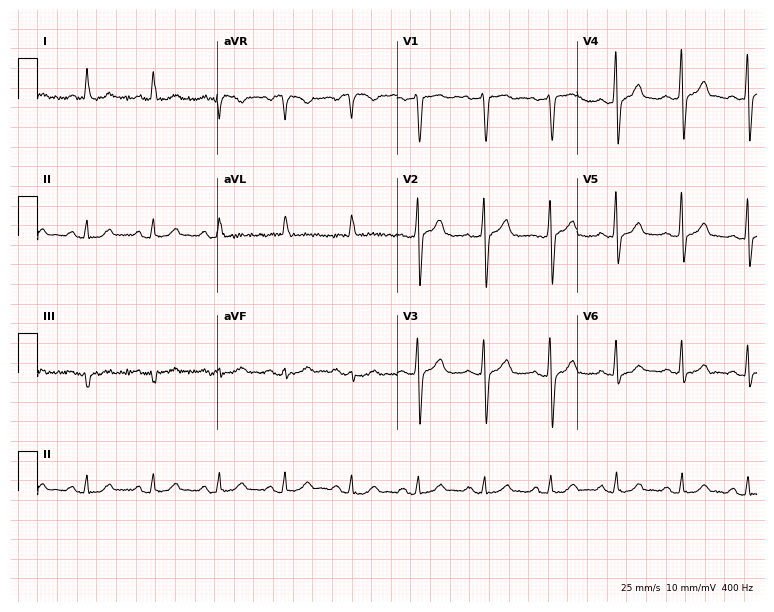
12-lead ECG from a female, 66 years old (7.3-second recording at 400 Hz). Recorded interpretation: within normal limits.